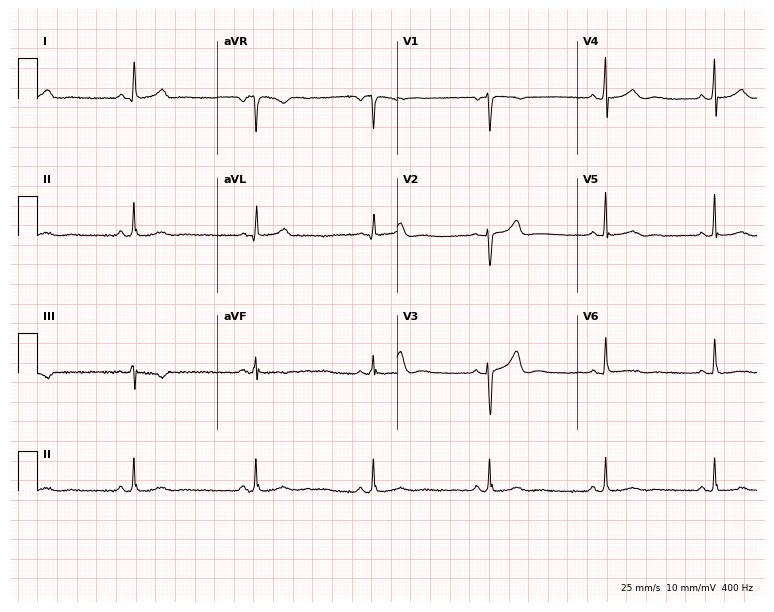
12-lead ECG (7.3-second recording at 400 Hz) from a female patient, 43 years old. Labelled as a normal ECG.